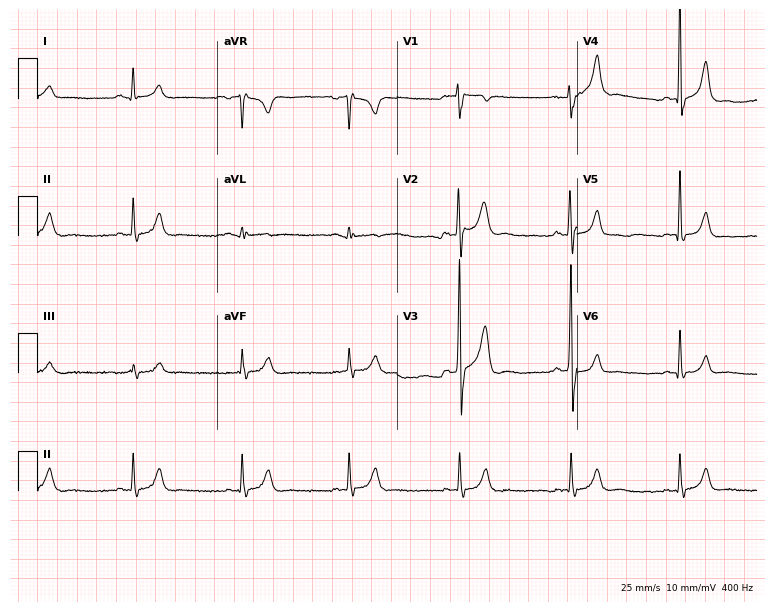
12-lead ECG (7.3-second recording at 400 Hz) from a 32-year-old male. Labelled as a normal ECG.